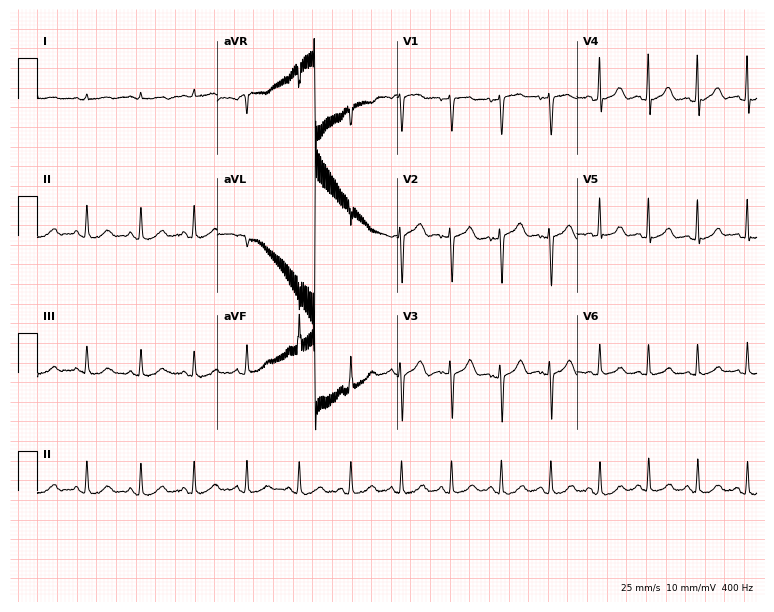
Electrocardiogram (7.3-second recording at 400 Hz), a female patient, 38 years old. Interpretation includes sinus tachycardia (a sinus rate of 100 beats per minute or more).